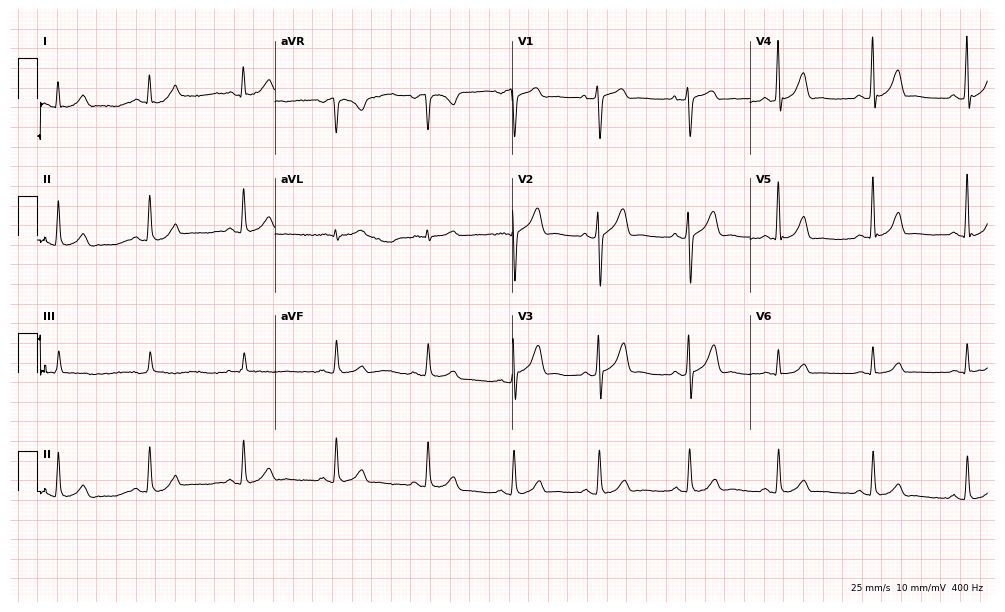
12-lead ECG from a male patient, 54 years old. Recorded interpretation: within normal limits.